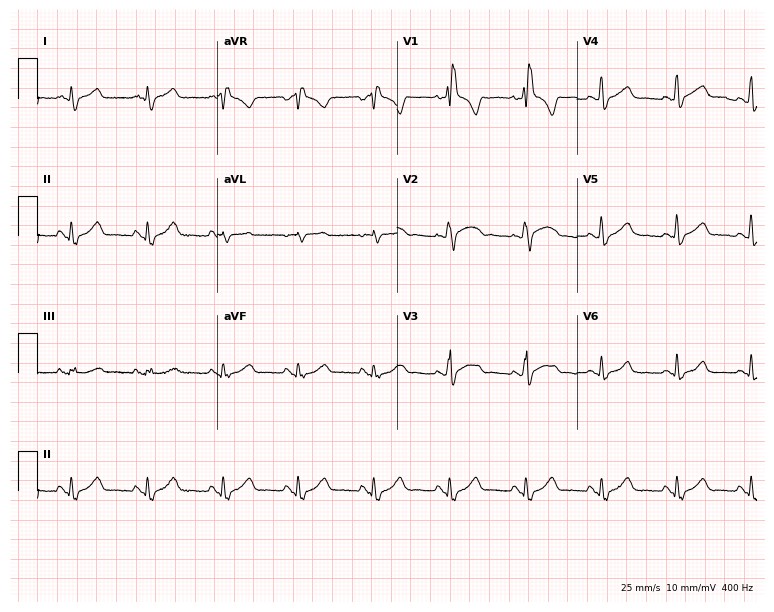
Resting 12-lead electrocardiogram. Patient: a 46-year-old male. The tracing shows right bundle branch block.